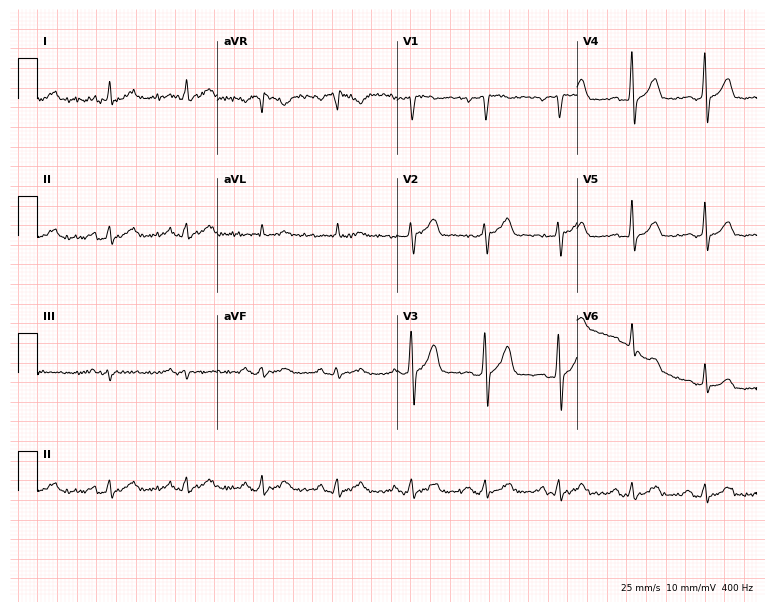
Electrocardiogram (7.3-second recording at 400 Hz), a man, 58 years old. Of the six screened findings (first-degree AV block, right bundle branch block, left bundle branch block, sinus bradycardia, atrial fibrillation, sinus tachycardia), none is recorded.